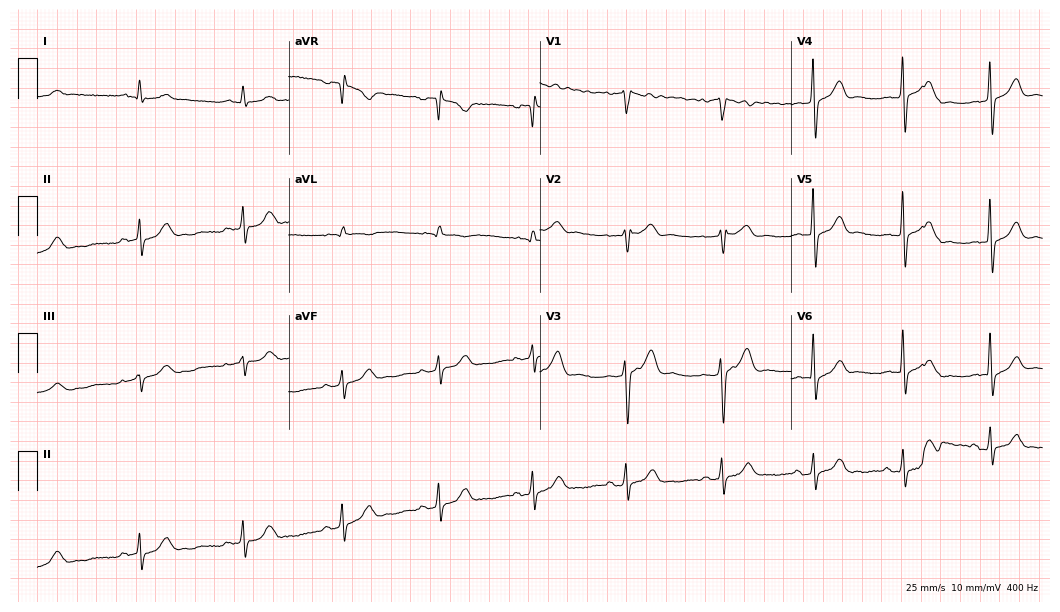
12-lead ECG from a male patient, 50 years old (10.2-second recording at 400 Hz). No first-degree AV block, right bundle branch block, left bundle branch block, sinus bradycardia, atrial fibrillation or sinus tachycardia recorded for this tracing. Only these six findings were labelled.